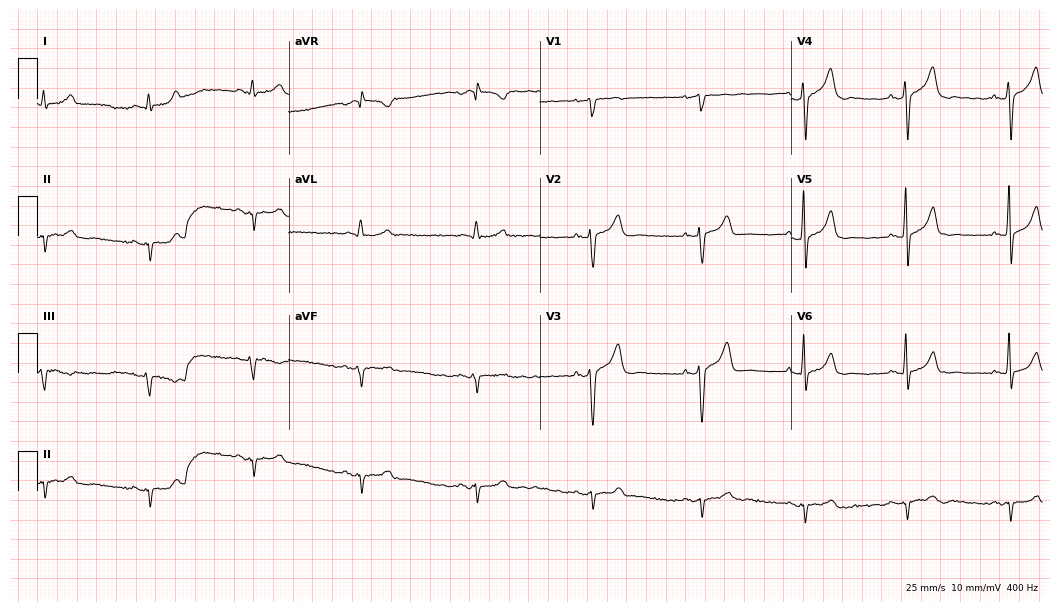
Electrocardiogram, a 41-year-old man. Of the six screened findings (first-degree AV block, right bundle branch block (RBBB), left bundle branch block (LBBB), sinus bradycardia, atrial fibrillation (AF), sinus tachycardia), none is recorded. Other findings, if any, are not listed.